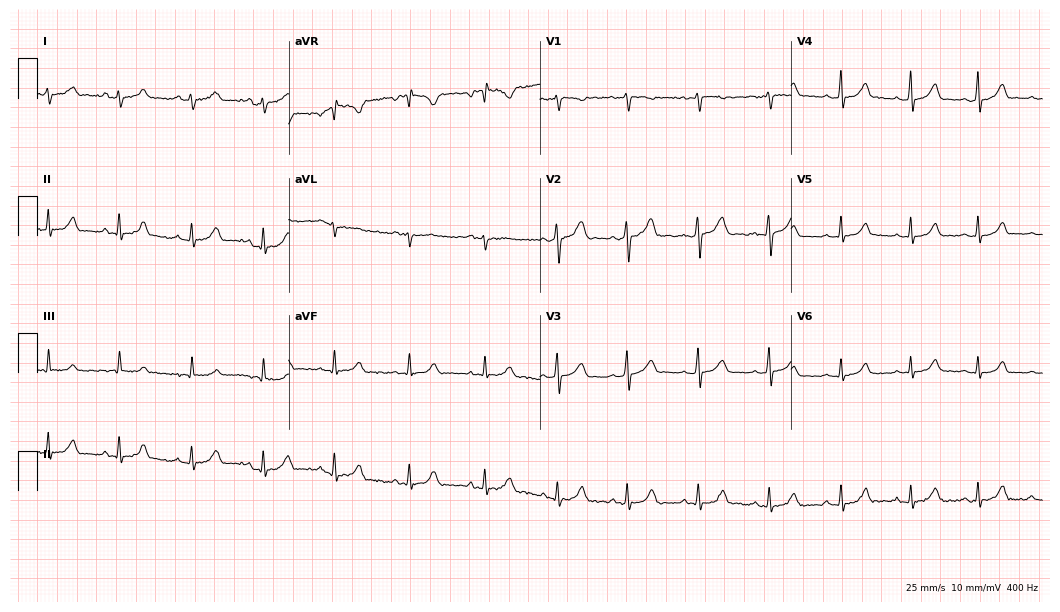
Standard 12-lead ECG recorded from a female, 21 years old (10.2-second recording at 400 Hz). None of these six findings is recorded: first-degree AV block, right bundle branch block (RBBB), left bundle branch block (LBBB), sinus bradycardia, atrial fibrillation (AF), sinus tachycardia.